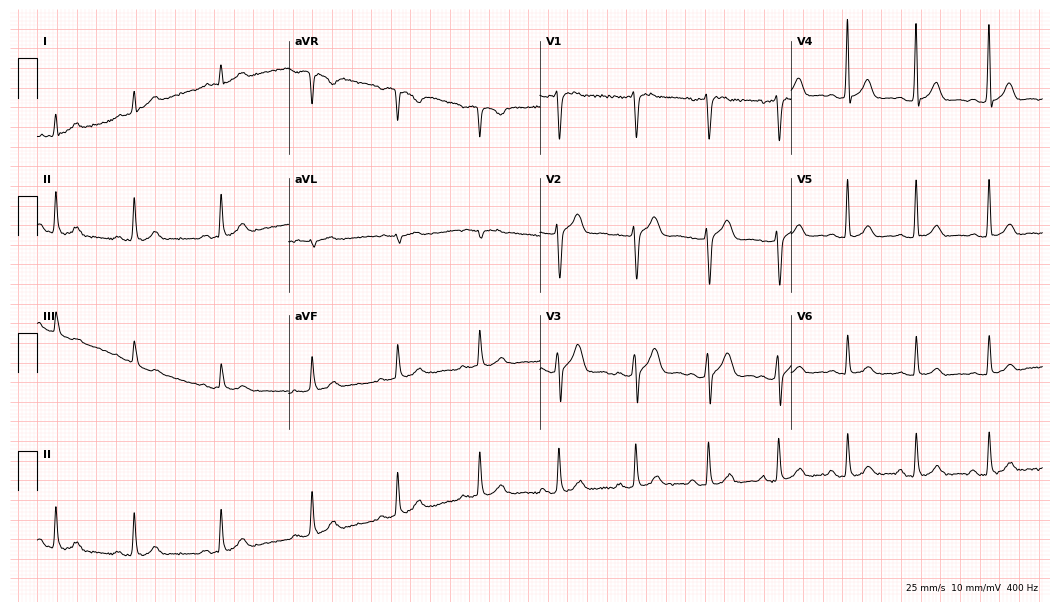
ECG — a male patient, 39 years old. Labelled as a normal ECG.